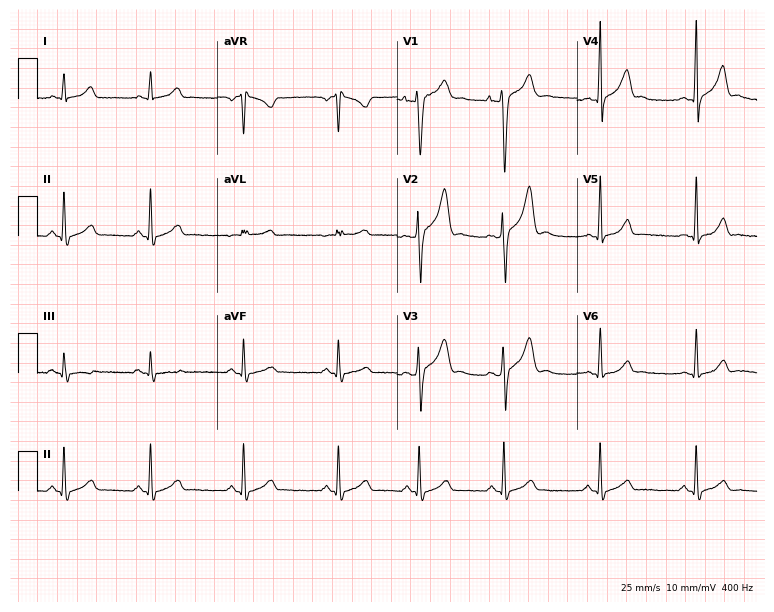
Electrocardiogram (7.3-second recording at 400 Hz), a 20-year-old male. Overall reading on record: normal ECG.